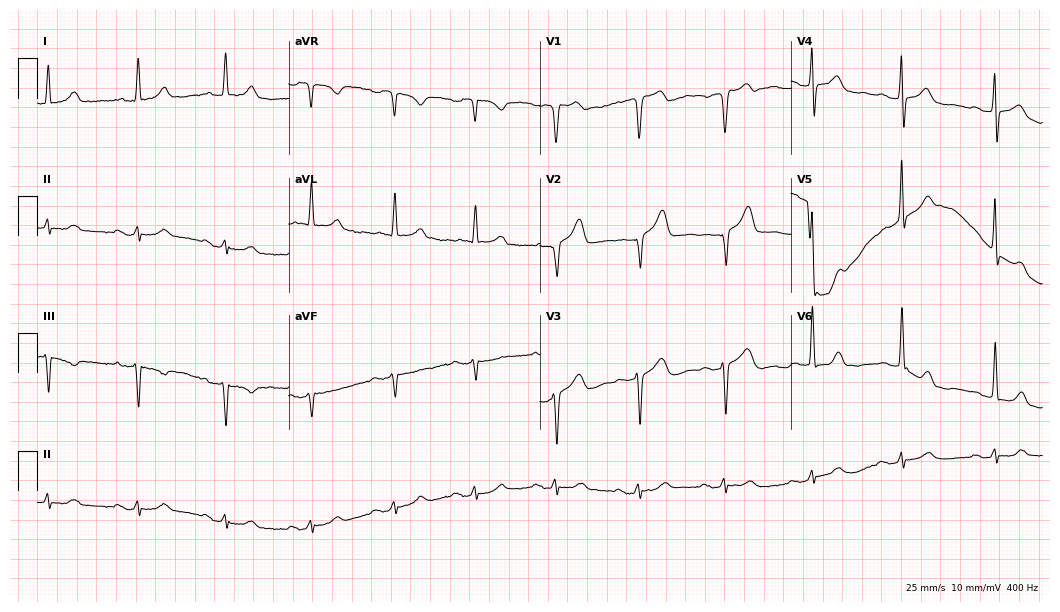
12-lead ECG (10.2-second recording at 400 Hz) from a man, 81 years old. Labelled as a normal ECG.